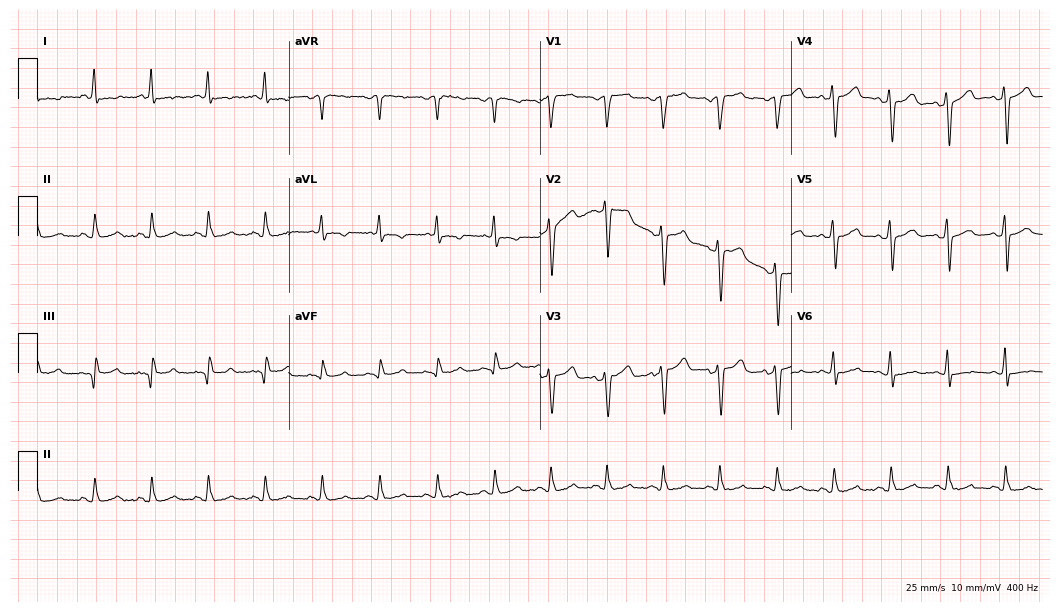
Standard 12-lead ECG recorded from a male, 56 years old. The tracing shows sinus tachycardia (a sinus rate of 100 beats per minute or more).